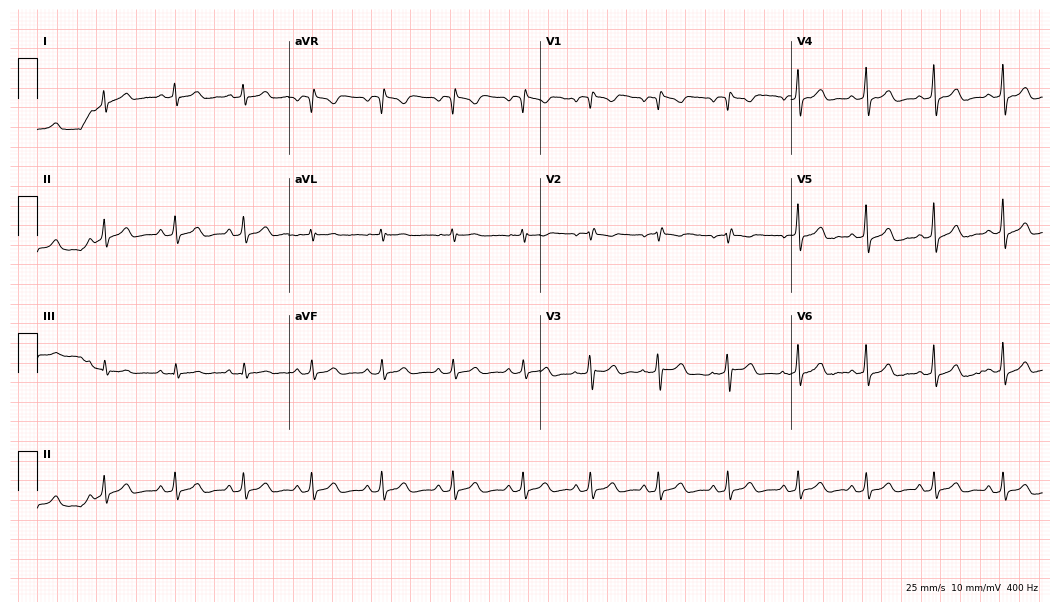
Standard 12-lead ECG recorded from a 41-year-old woman. None of these six findings is recorded: first-degree AV block, right bundle branch block (RBBB), left bundle branch block (LBBB), sinus bradycardia, atrial fibrillation (AF), sinus tachycardia. Only these six findings were labelled.